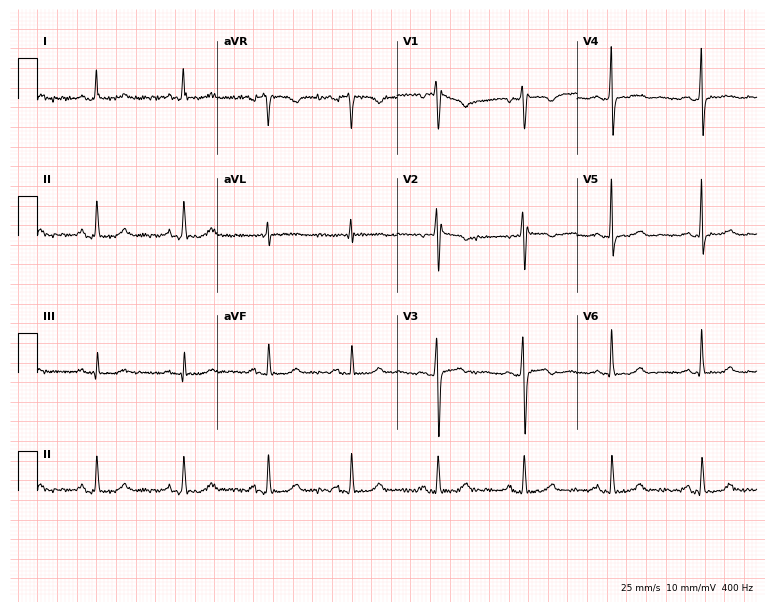
Electrocardiogram (7.3-second recording at 400 Hz), a 47-year-old female patient. Of the six screened findings (first-degree AV block, right bundle branch block (RBBB), left bundle branch block (LBBB), sinus bradycardia, atrial fibrillation (AF), sinus tachycardia), none is recorded.